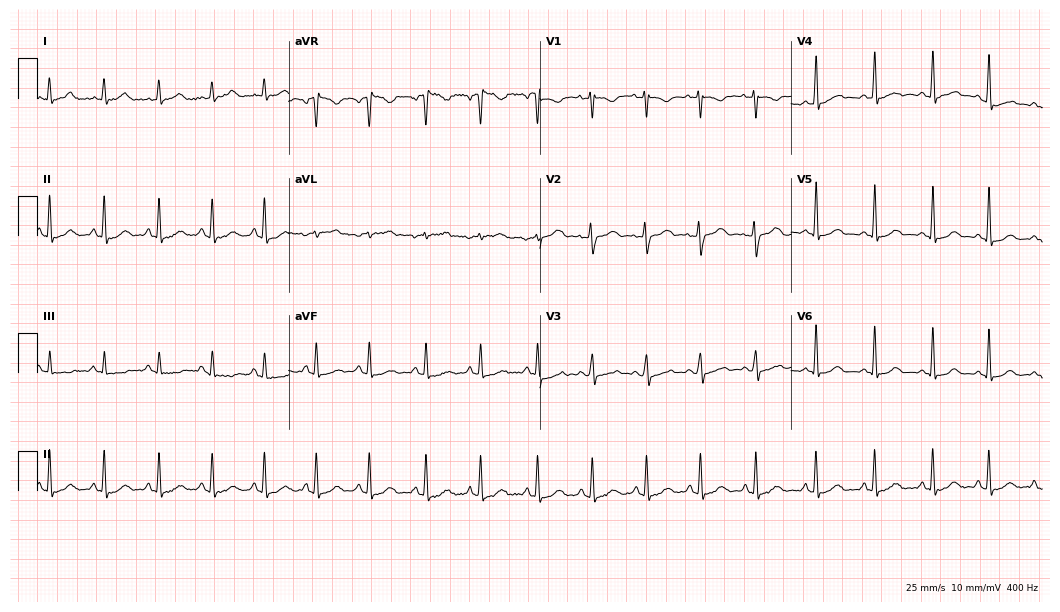
Electrocardiogram, a female, 27 years old. Interpretation includes sinus tachycardia (a sinus rate of 100 beats per minute or more).